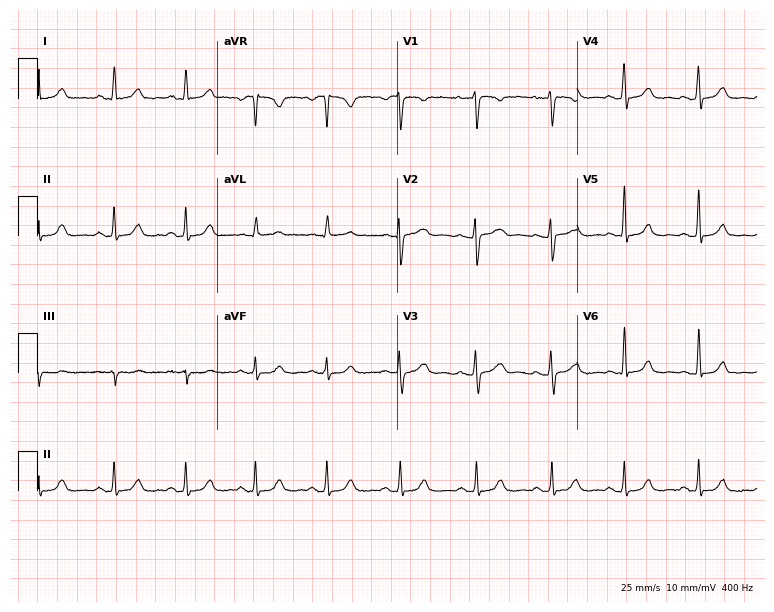
ECG (7.3-second recording at 400 Hz) — a 36-year-old female patient. Screened for six findings — first-degree AV block, right bundle branch block (RBBB), left bundle branch block (LBBB), sinus bradycardia, atrial fibrillation (AF), sinus tachycardia — none is recorded.